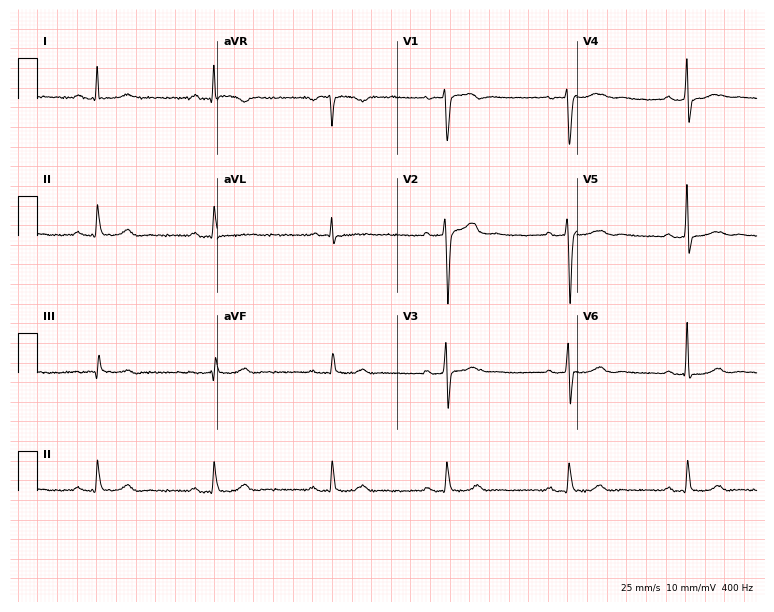
Resting 12-lead electrocardiogram (7.3-second recording at 400 Hz). Patient: a 60-year-old male. The tracing shows first-degree AV block, sinus bradycardia (a sinus rate of 50 beats per minute or less).